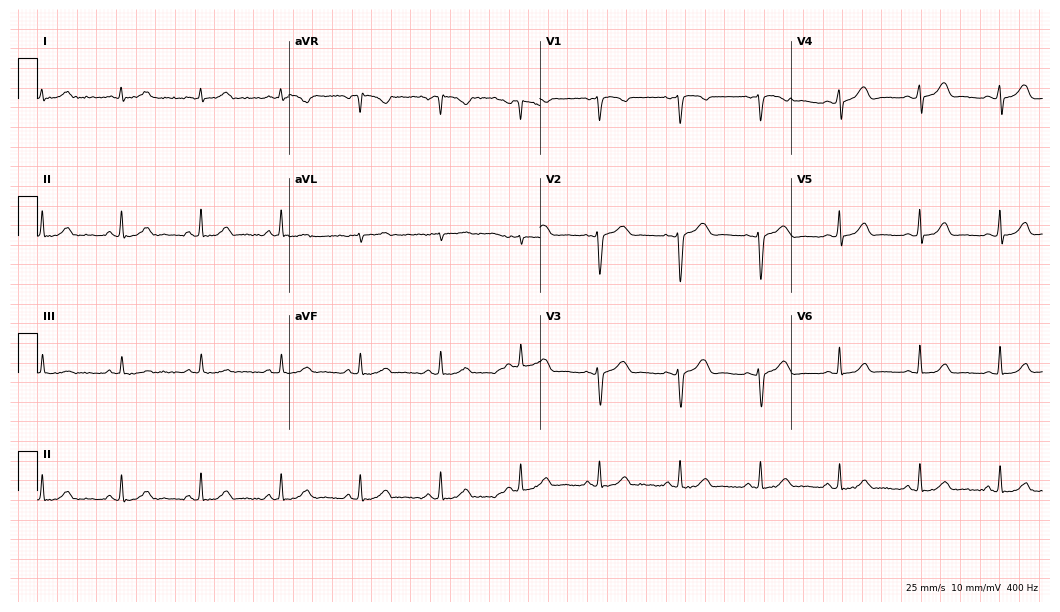
Electrocardiogram, a female, 45 years old. Of the six screened findings (first-degree AV block, right bundle branch block, left bundle branch block, sinus bradycardia, atrial fibrillation, sinus tachycardia), none is recorded. Findings outside these six are not listed.